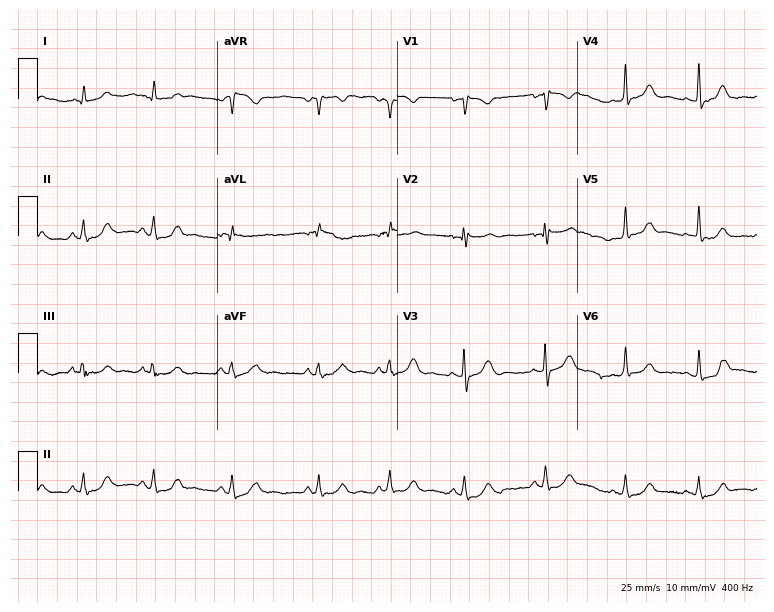
12-lead ECG from a female, 45 years old. No first-degree AV block, right bundle branch block, left bundle branch block, sinus bradycardia, atrial fibrillation or sinus tachycardia recorded for this tracing. Only these six findings were labelled.